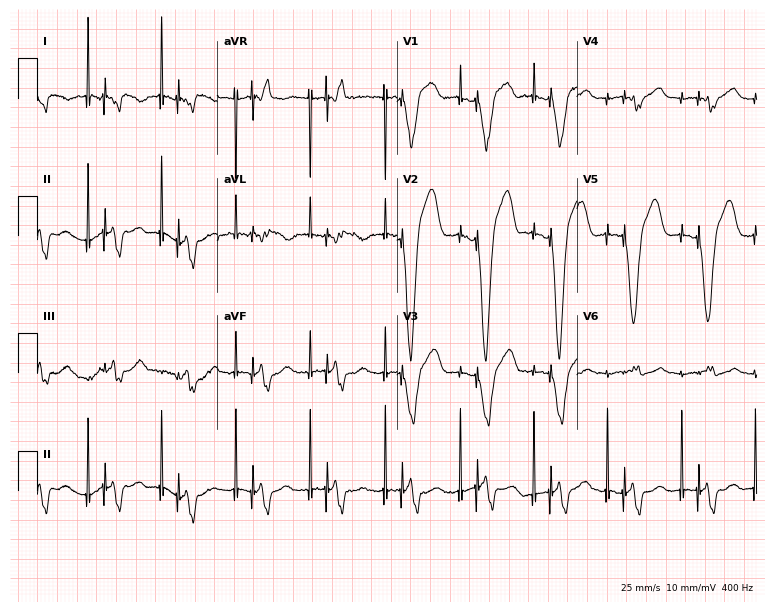
12-lead ECG from a male, 79 years old (7.3-second recording at 400 Hz). No first-degree AV block, right bundle branch block, left bundle branch block, sinus bradycardia, atrial fibrillation or sinus tachycardia recorded for this tracing.